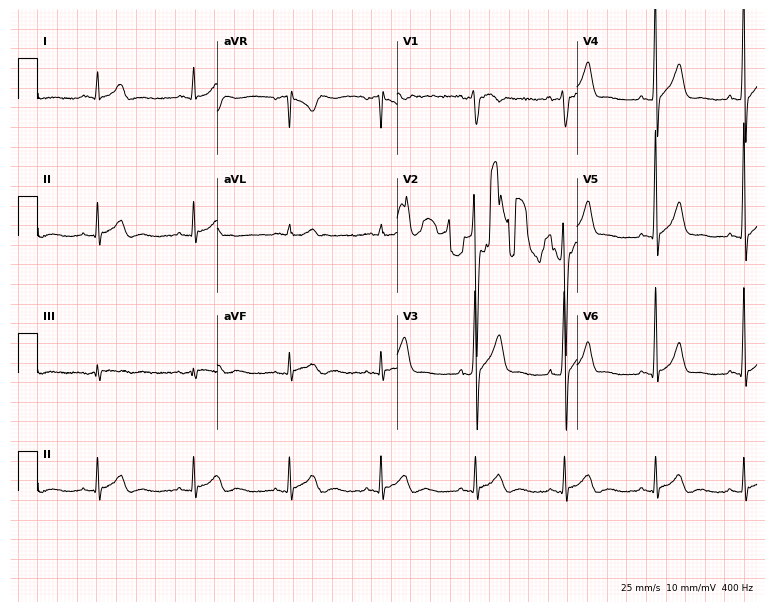
12-lead ECG from a male, 34 years old (7.3-second recording at 400 Hz). No first-degree AV block, right bundle branch block, left bundle branch block, sinus bradycardia, atrial fibrillation or sinus tachycardia recorded for this tracing.